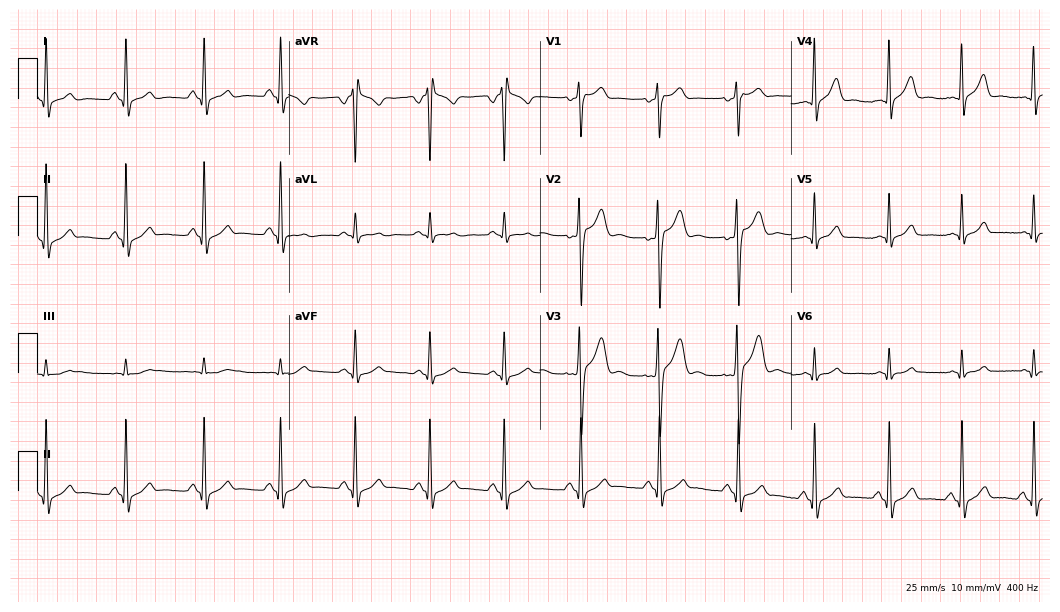
Standard 12-lead ECG recorded from a 22-year-old male patient. None of these six findings is recorded: first-degree AV block, right bundle branch block (RBBB), left bundle branch block (LBBB), sinus bradycardia, atrial fibrillation (AF), sinus tachycardia.